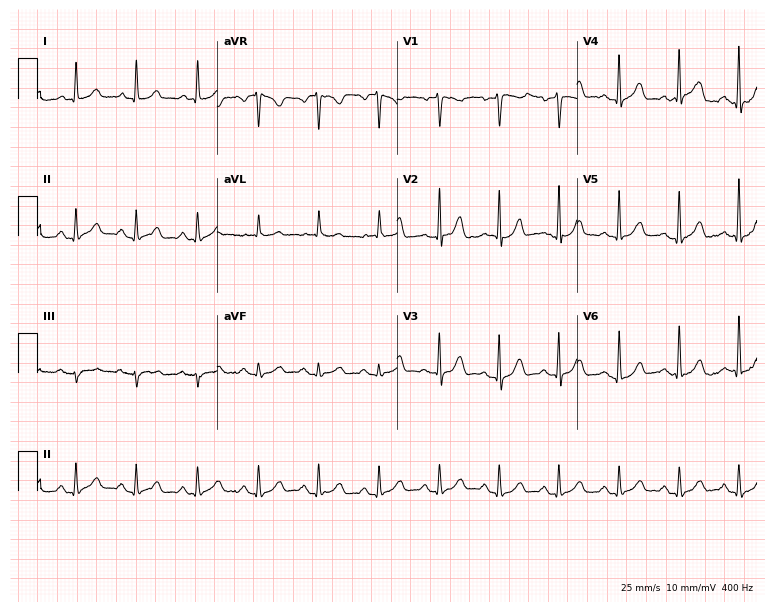
ECG (7.3-second recording at 400 Hz) — a man, 61 years old. Labelled as a normal ECG.